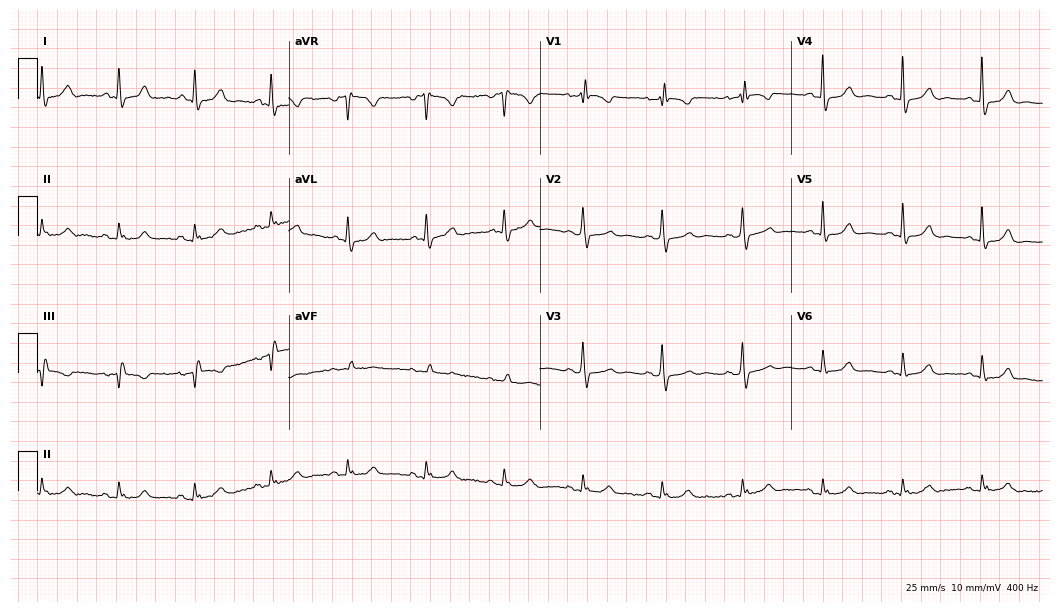
Electrocardiogram (10.2-second recording at 400 Hz), a 68-year-old female patient. Of the six screened findings (first-degree AV block, right bundle branch block, left bundle branch block, sinus bradycardia, atrial fibrillation, sinus tachycardia), none is recorded. Other findings, if any, are not listed.